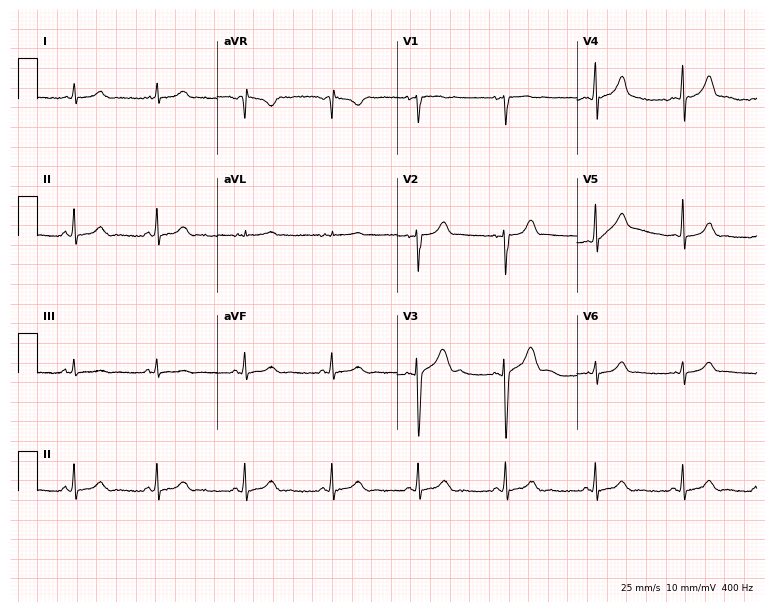
Resting 12-lead electrocardiogram (7.3-second recording at 400 Hz). Patient: a 26-year-old female. None of these six findings is recorded: first-degree AV block, right bundle branch block, left bundle branch block, sinus bradycardia, atrial fibrillation, sinus tachycardia. Findings outside these six are not listed.